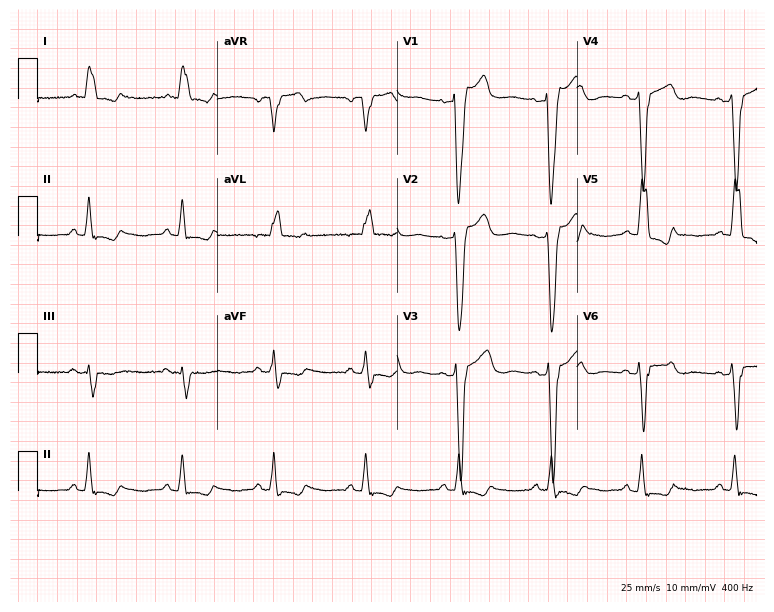
Resting 12-lead electrocardiogram (7.3-second recording at 400 Hz). Patient: an 85-year-old female. The tracing shows left bundle branch block.